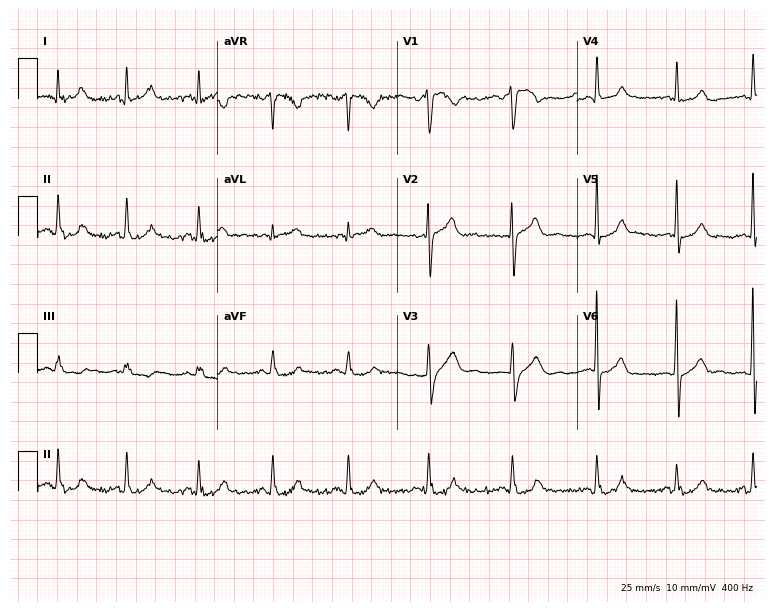
Resting 12-lead electrocardiogram (7.3-second recording at 400 Hz). Patient: a male, 32 years old. Read as a normal ECG.